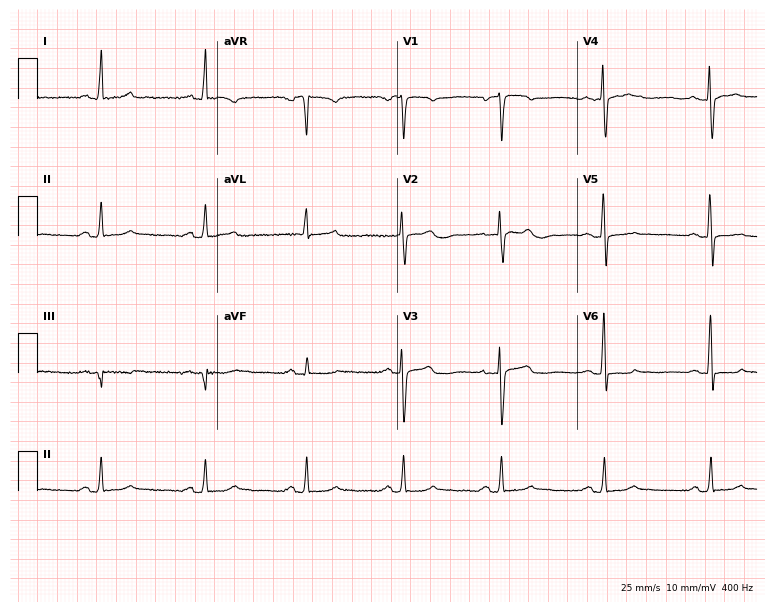
Electrocardiogram (7.3-second recording at 400 Hz), a woman, 73 years old. Of the six screened findings (first-degree AV block, right bundle branch block, left bundle branch block, sinus bradycardia, atrial fibrillation, sinus tachycardia), none is recorded. Only these six findings were labelled.